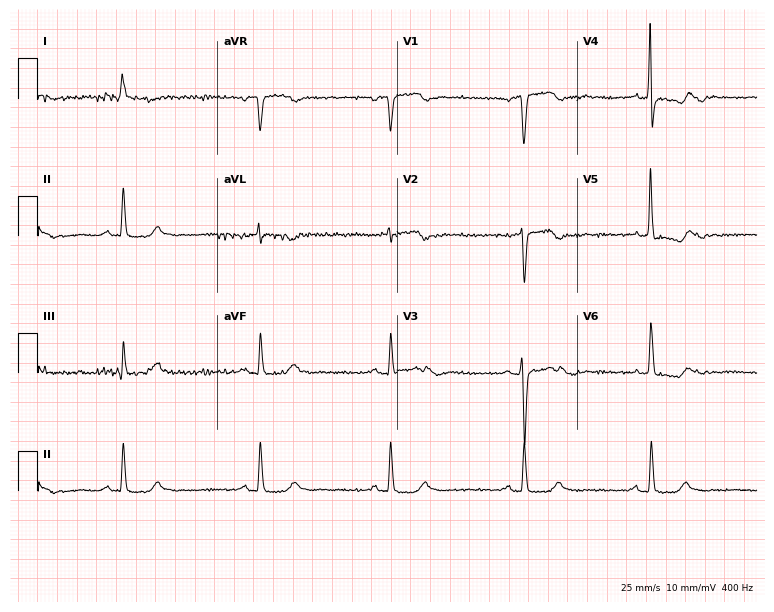
12-lead ECG (7.3-second recording at 400 Hz) from an 84-year-old man. Findings include sinus bradycardia (a sinus rate of 50 beats per minute or less).